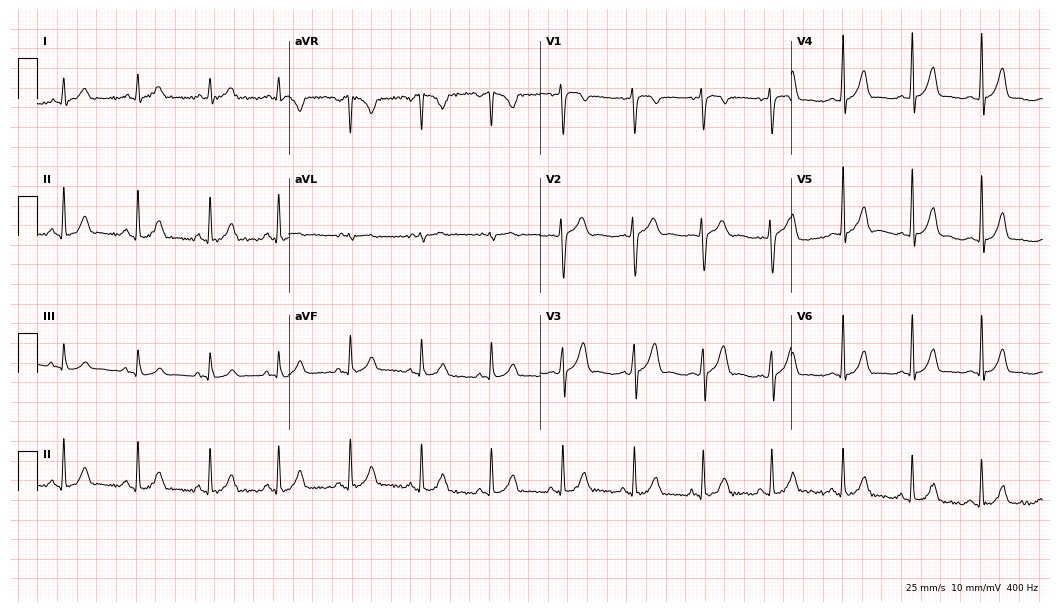
Electrocardiogram (10.2-second recording at 400 Hz), a 19-year-old female. Overall reading on record: normal ECG.